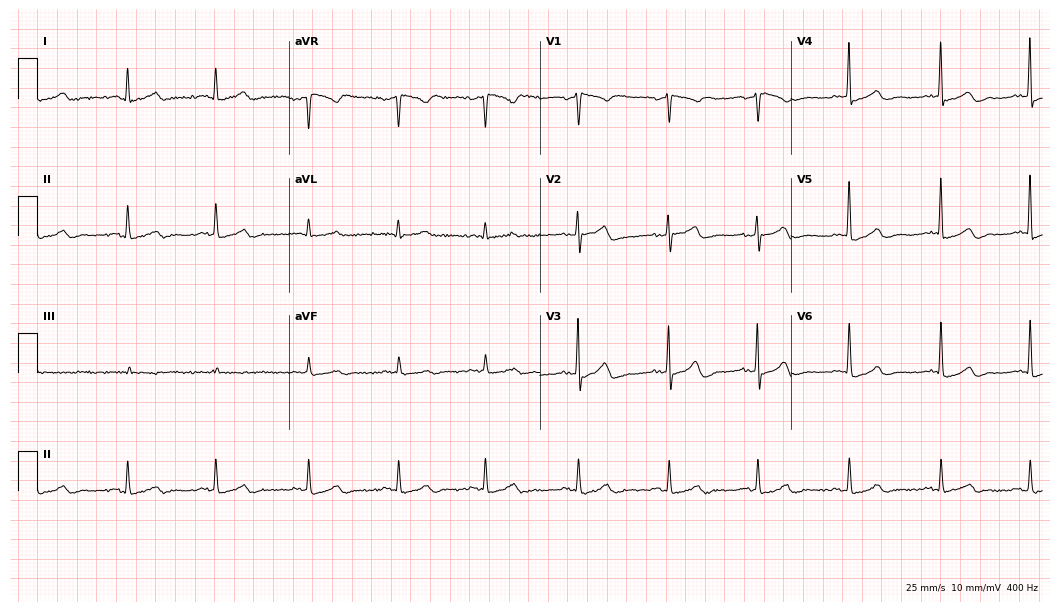
Standard 12-lead ECG recorded from a female, 60 years old. Read as a normal ECG.